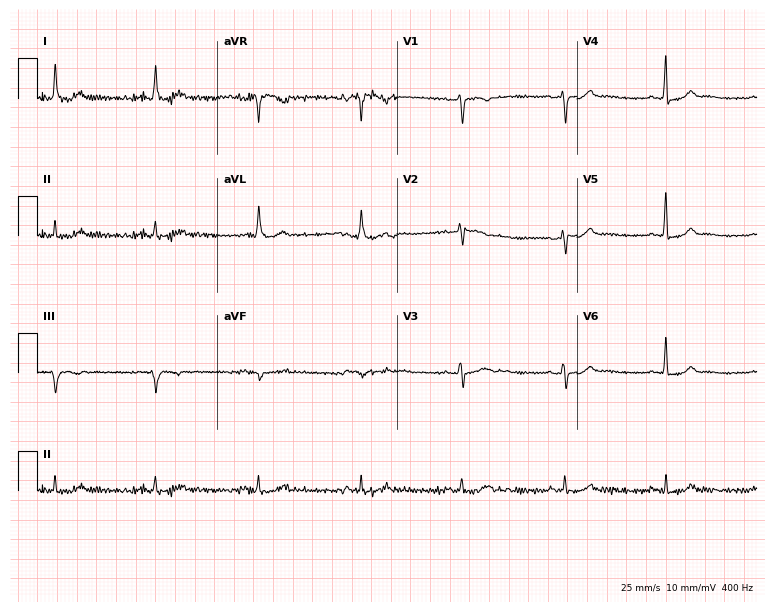
ECG (7.3-second recording at 400 Hz) — a 53-year-old woman. Screened for six findings — first-degree AV block, right bundle branch block, left bundle branch block, sinus bradycardia, atrial fibrillation, sinus tachycardia — none is recorded.